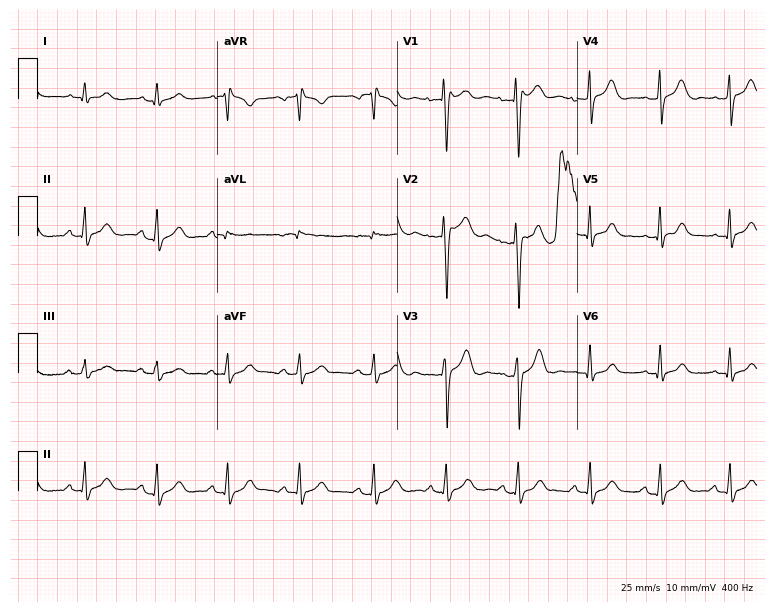
Standard 12-lead ECG recorded from a male patient, 26 years old. None of these six findings is recorded: first-degree AV block, right bundle branch block (RBBB), left bundle branch block (LBBB), sinus bradycardia, atrial fibrillation (AF), sinus tachycardia. Other findings, if any, are not listed.